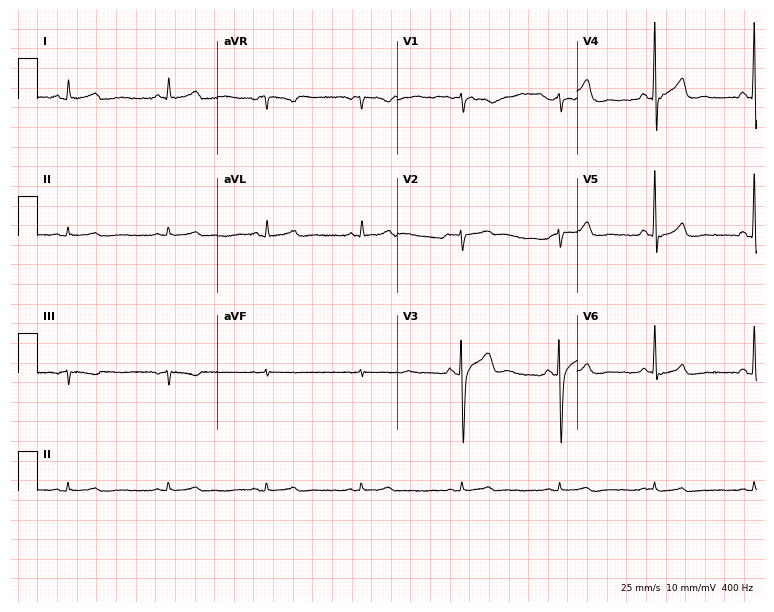
Standard 12-lead ECG recorded from a 36-year-old male patient. Read as a normal ECG.